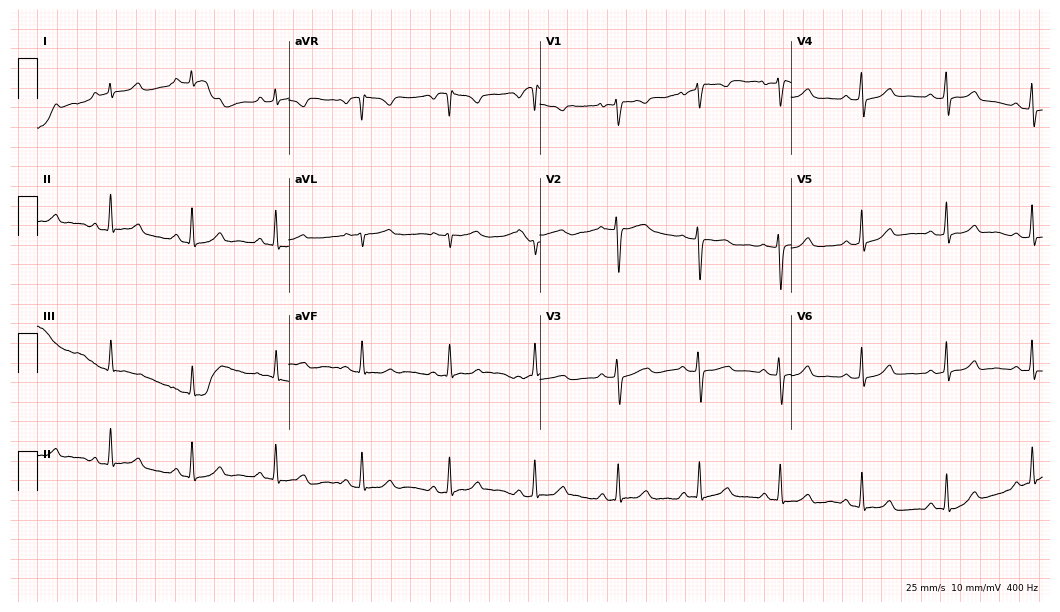
12-lead ECG from a 42-year-old female. Screened for six findings — first-degree AV block, right bundle branch block, left bundle branch block, sinus bradycardia, atrial fibrillation, sinus tachycardia — none is recorded. Other findings, if any, are not listed.